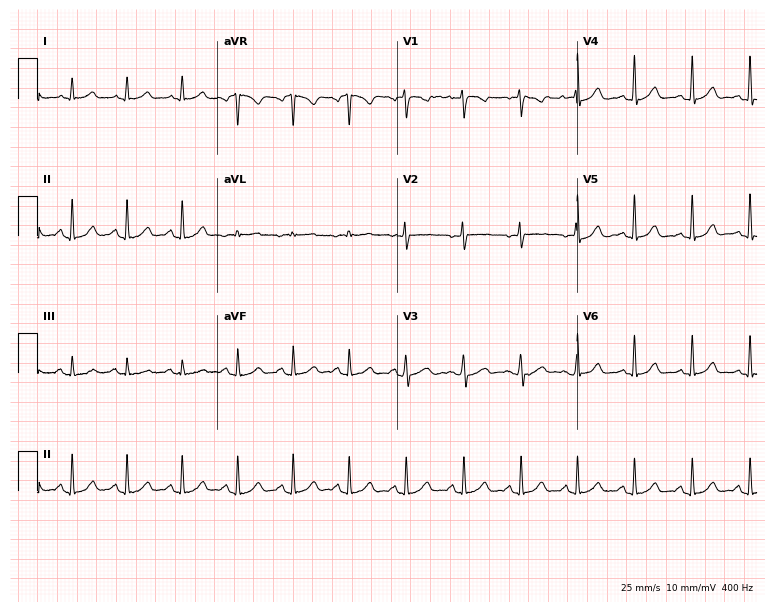
Standard 12-lead ECG recorded from a female, 35 years old. The tracing shows sinus tachycardia (a sinus rate of 100 beats per minute or more).